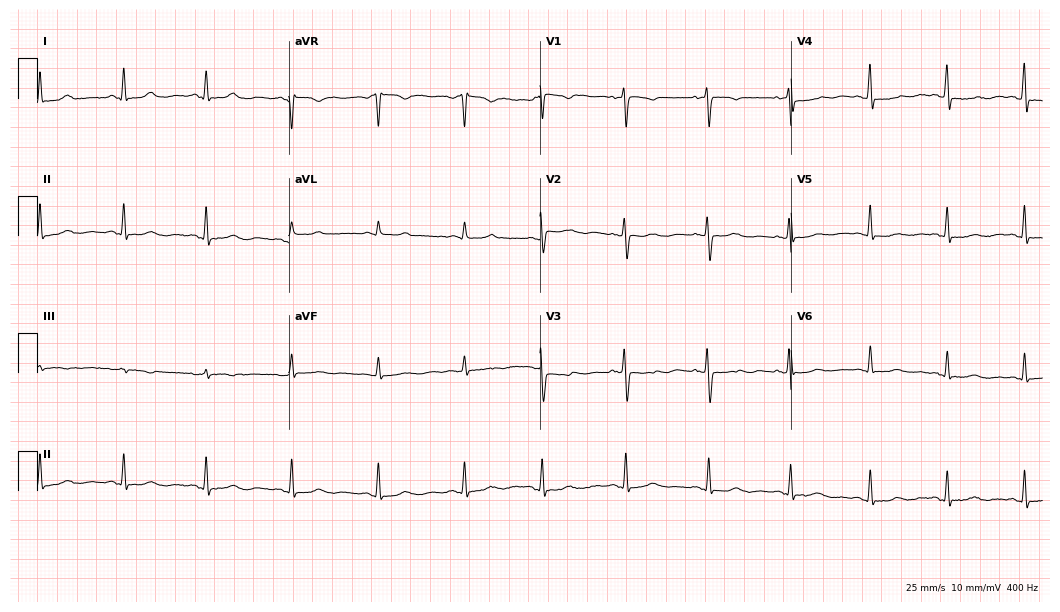
Resting 12-lead electrocardiogram (10.2-second recording at 400 Hz). Patient: a female, 68 years old. None of these six findings is recorded: first-degree AV block, right bundle branch block, left bundle branch block, sinus bradycardia, atrial fibrillation, sinus tachycardia. Only these six findings were labelled.